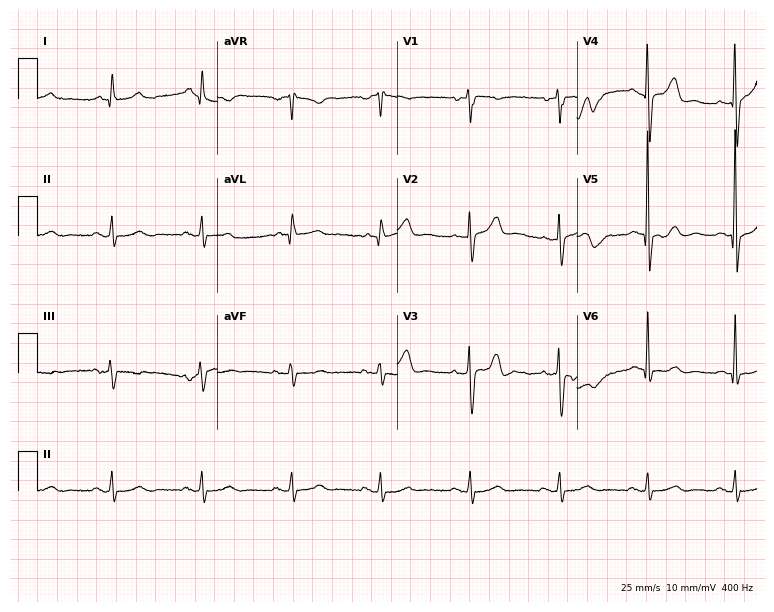
12-lead ECG from a 70-year-old man. Screened for six findings — first-degree AV block, right bundle branch block (RBBB), left bundle branch block (LBBB), sinus bradycardia, atrial fibrillation (AF), sinus tachycardia — none is recorded.